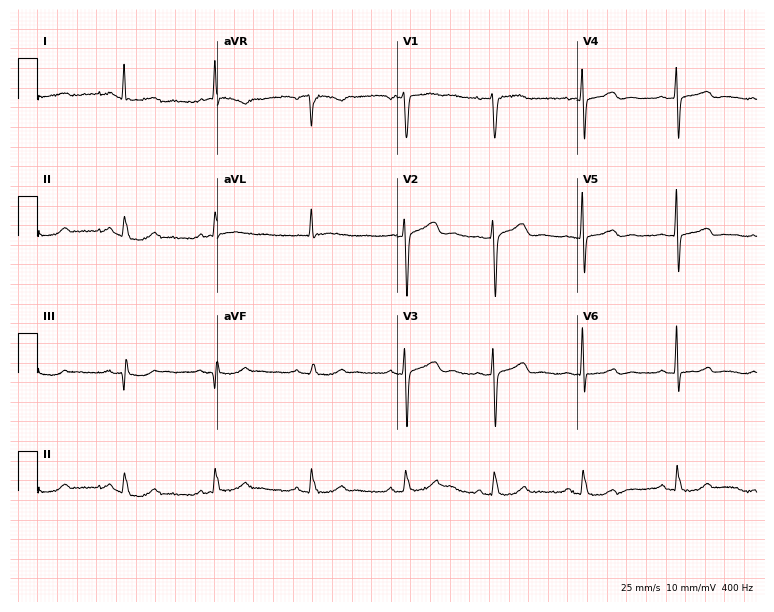
Electrocardiogram (7.3-second recording at 400 Hz), a female patient, 52 years old. Of the six screened findings (first-degree AV block, right bundle branch block, left bundle branch block, sinus bradycardia, atrial fibrillation, sinus tachycardia), none is recorded. Findings outside these six are not listed.